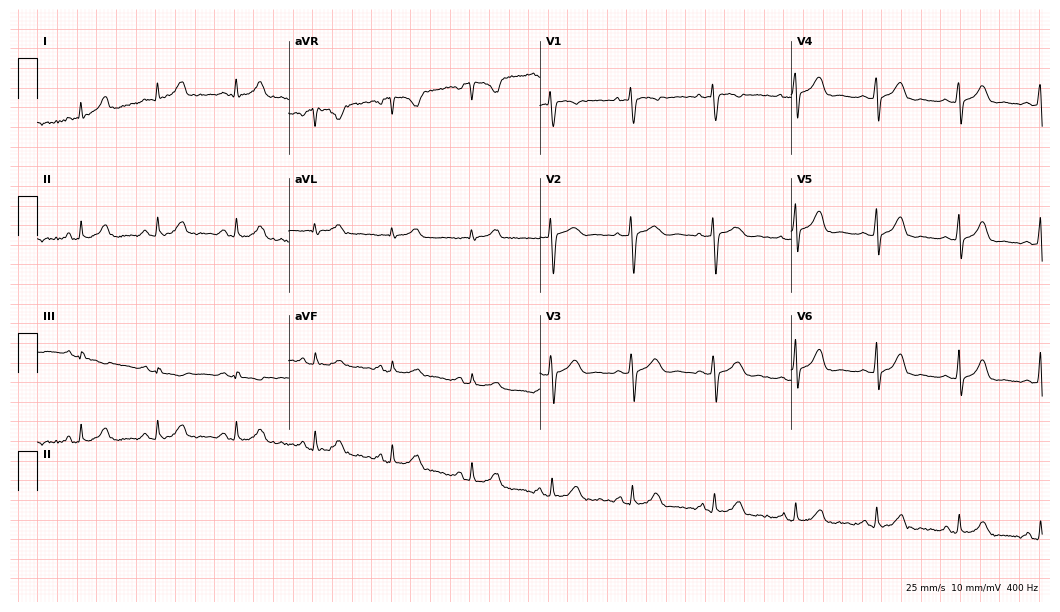
ECG — a female, 34 years old. Labelled as a normal ECG.